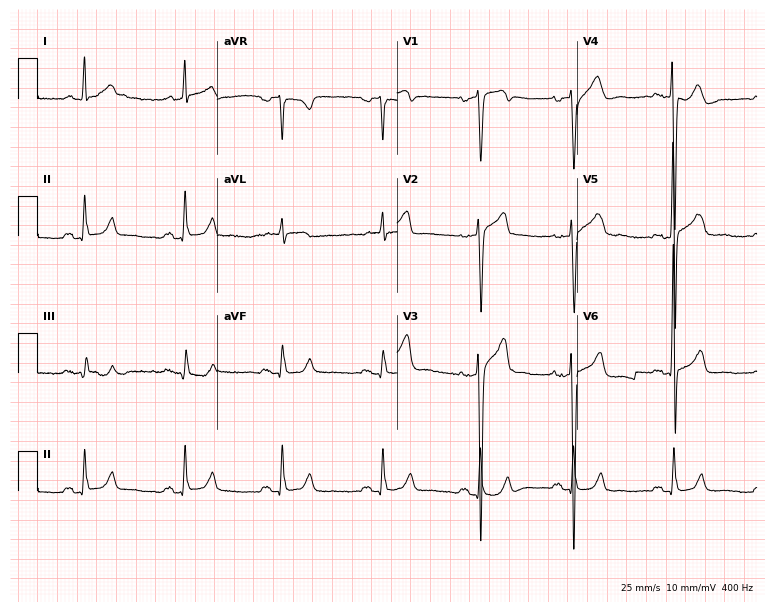
12-lead ECG (7.3-second recording at 400 Hz) from a male patient, 56 years old. Screened for six findings — first-degree AV block, right bundle branch block, left bundle branch block, sinus bradycardia, atrial fibrillation, sinus tachycardia — none is recorded.